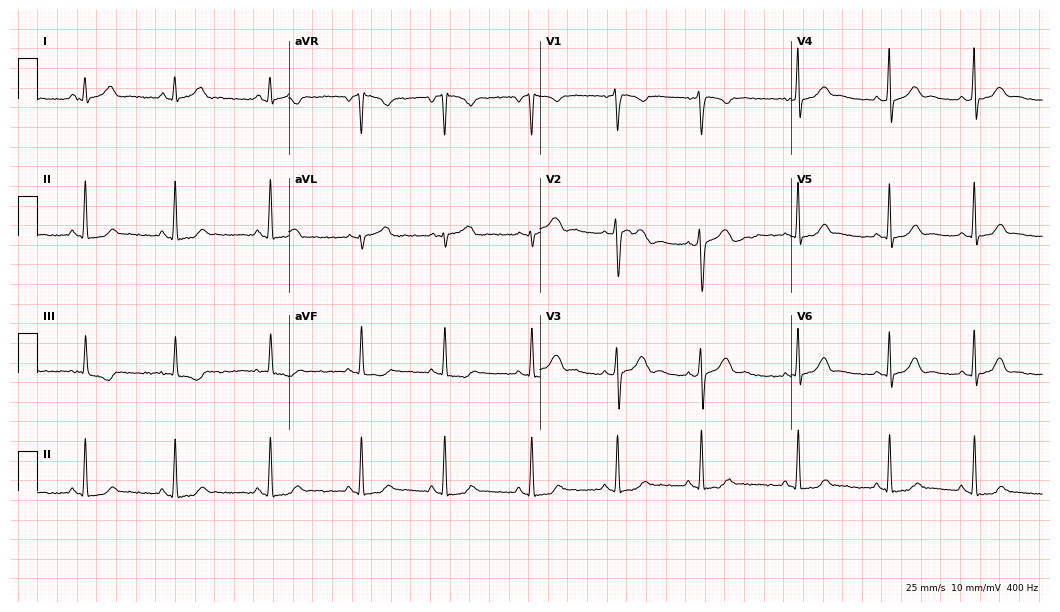
12-lead ECG (10.2-second recording at 400 Hz) from a 20-year-old woman. Screened for six findings — first-degree AV block, right bundle branch block, left bundle branch block, sinus bradycardia, atrial fibrillation, sinus tachycardia — none is recorded.